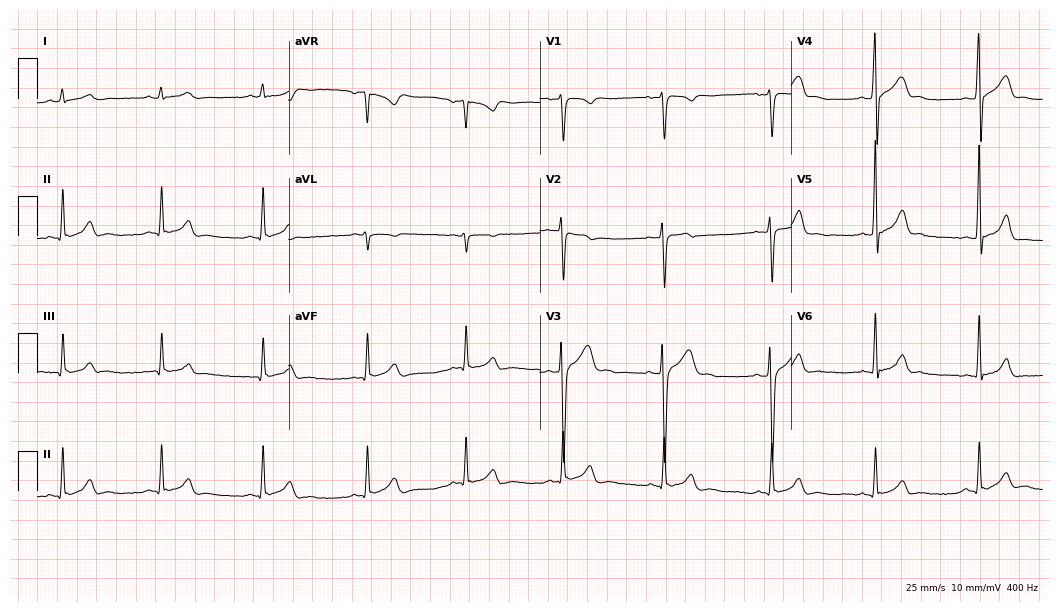
12-lead ECG from a man, 38 years old (10.2-second recording at 400 Hz). No first-degree AV block, right bundle branch block, left bundle branch block, sinus bradycardia, atrial fibrillation or sinus tachycardia recorded for this tracing. Findings outside these six are not listed.